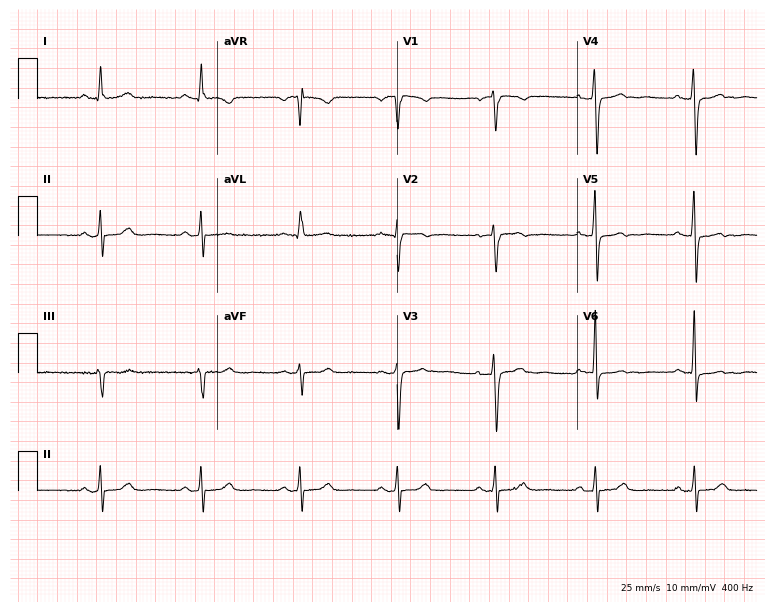
12-lead ECG (7.3-second recording at 400 Hz) from a 68-year-old woman. Labelled as a normal ECG.